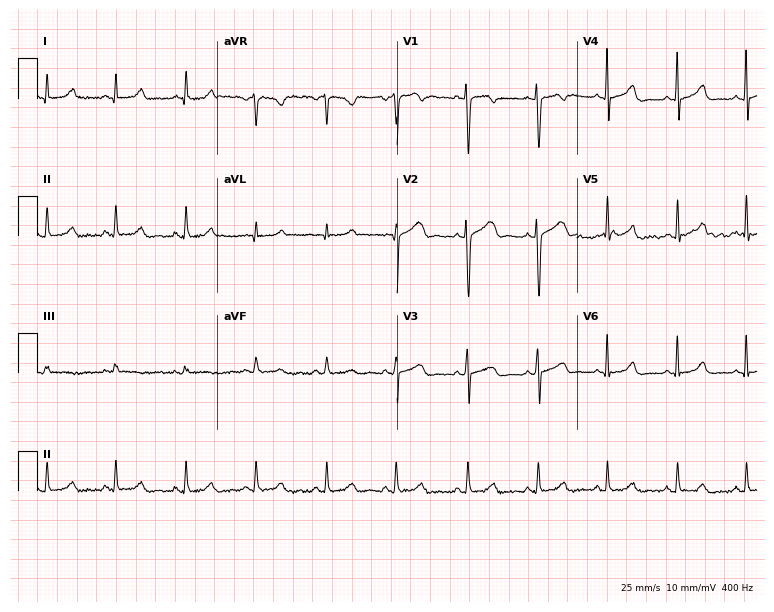
ECG — a 28-year-old female. Labelled as a normal ECG.